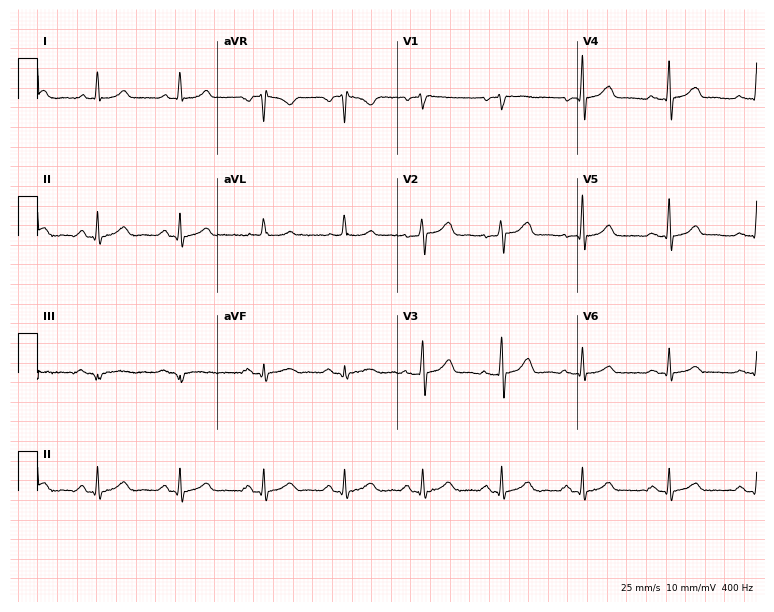
Resting 12-lead electrocardiogram. Patient: a 47-year-old woman. Read as a normal ECG.